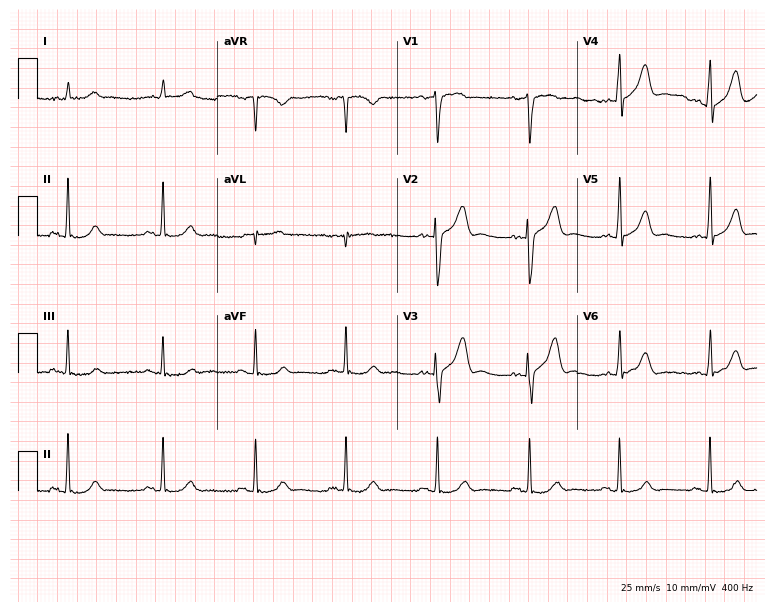
Standard 12-lead ECG recorded from a male patient, 72 years old. None of these six findings is recorded: first-degree AV block, right bundle branch block (RBBB), left bundle branch block (LBBB), sinus bradycardia, atrial fibrillation (AF), sinus tachycardia. Findings outside these six are not listed.